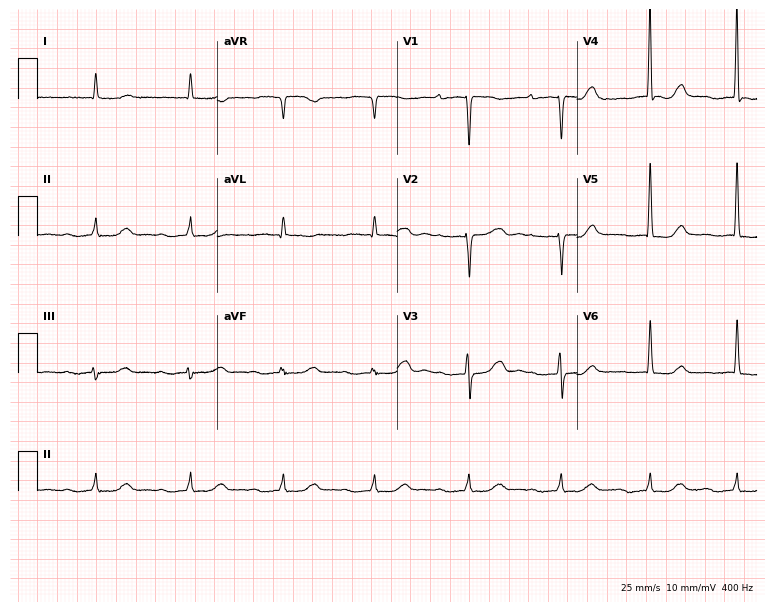
ECG (7.3-second recording at 400 Hz) — a 75-year-old female. Findings include first-degree AV block.